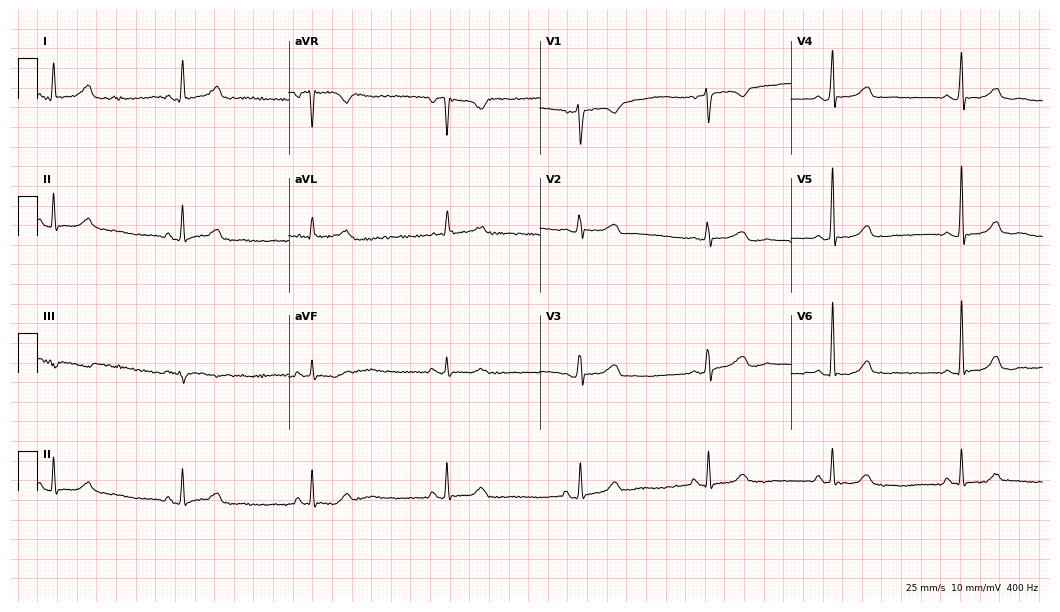
Resting 12-lead electrocardiogram. Patient: a female, 57 years old. Read as a normal ECG.